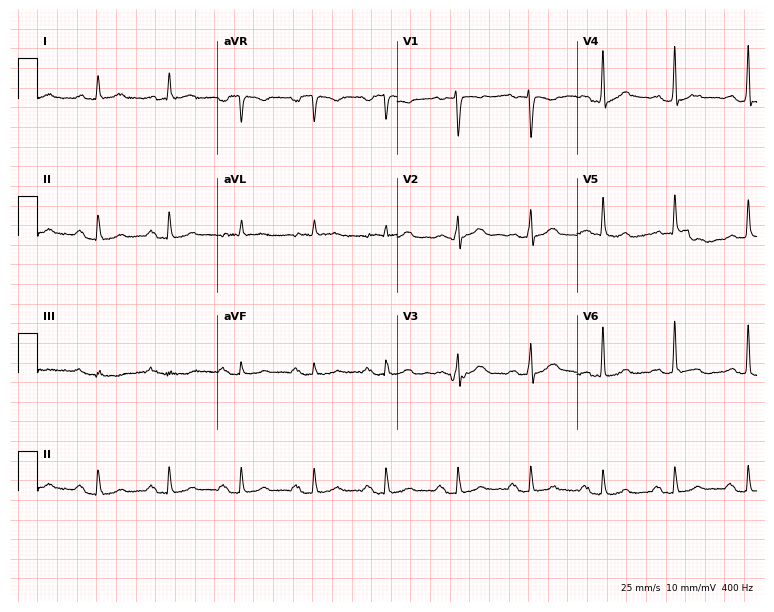
12-lead ECG from a 76-year-old male (7.3-second recording at 400 Hz). No first-degree AV block, right bundle branch block (RBBB), left bundle branch block (LBBB), sinus bradycardia, atrial fibrillation (AF) or sinus tachycardia recorded for this tracing.